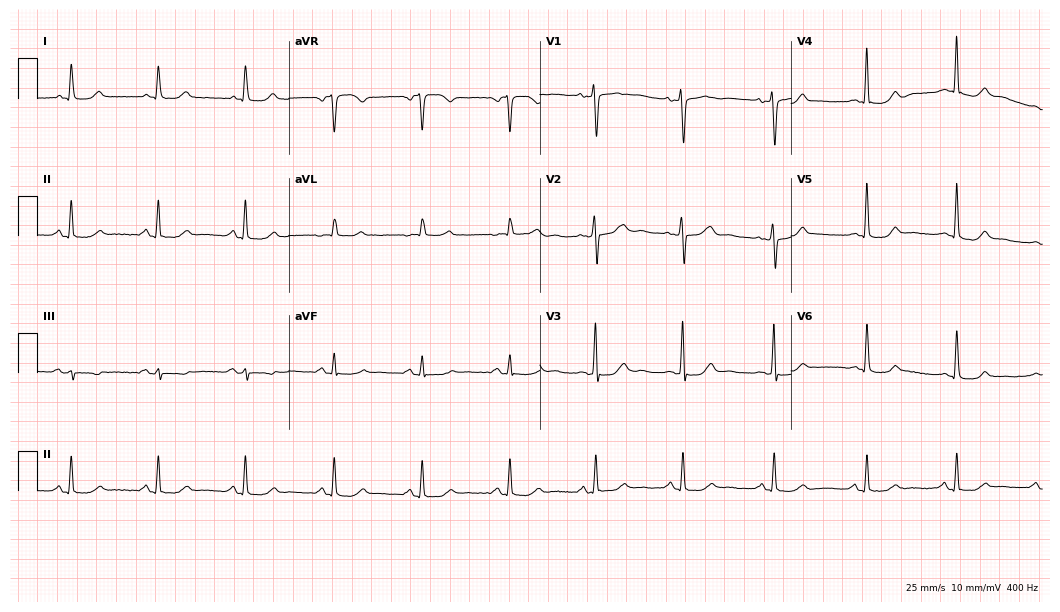
Electrocardiogram (10.2-second recording at 400 Hz), a 65-year-old female patient. Overall reading on record: normal ECG.